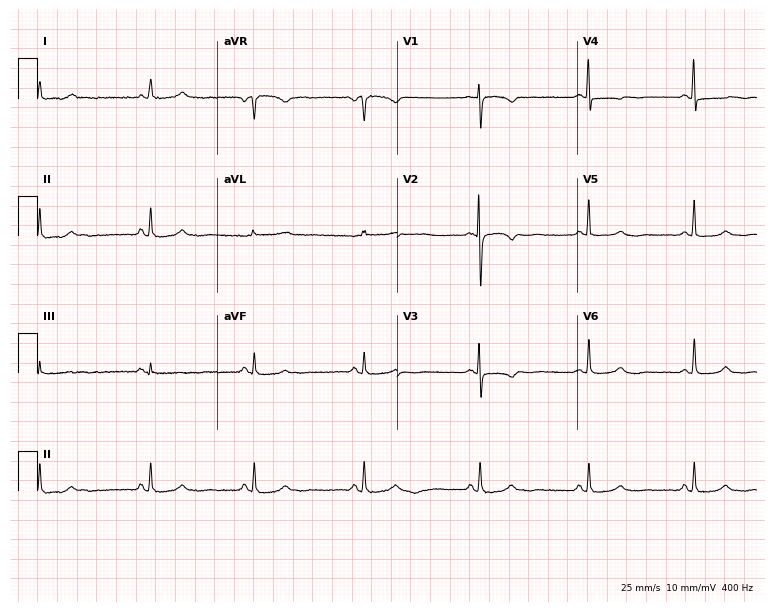
Resting 12-lead electrocardiogram (7.3-second recording at 400 Hz). Patient: a 56-year-old woman. None of these six findings is recorded: first-degree AV block, right bundle branch block, left bundle branch block, sinus bradycardia, atrial fibrillation, sinus tachycardia. Findings outside these six are not listed.